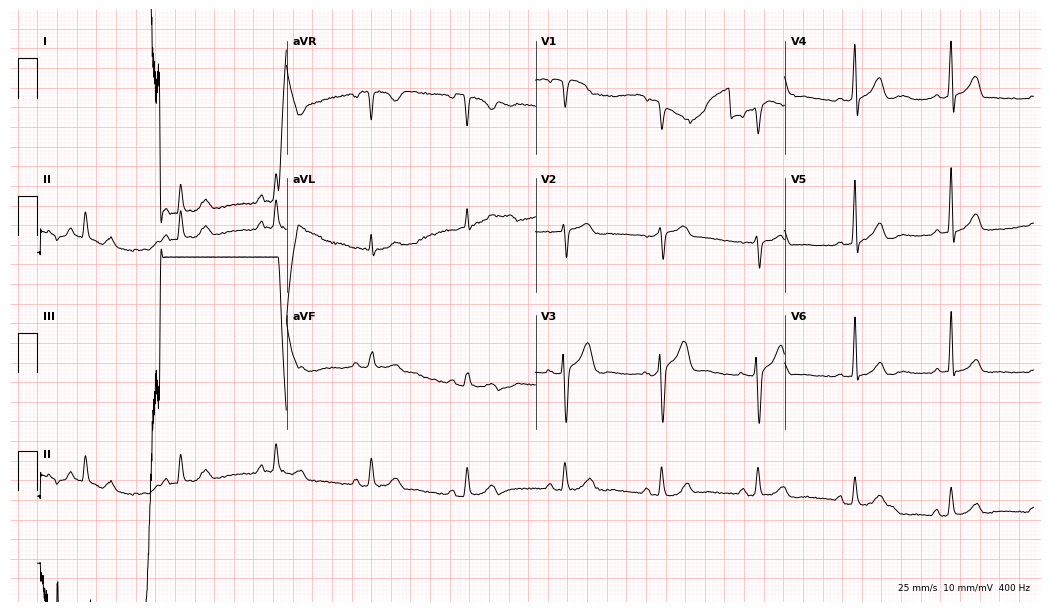
12-lead ECG (10.2-second recording at 400 Hz) from a 59-year-old man. Screened for six findings — first-degree AV block, right bundle branch block (RBBB), left bundle branch block (LBBB), sinus bradycardia, atrial fibrillation (AF), sinus tachycardia — none is recorded.